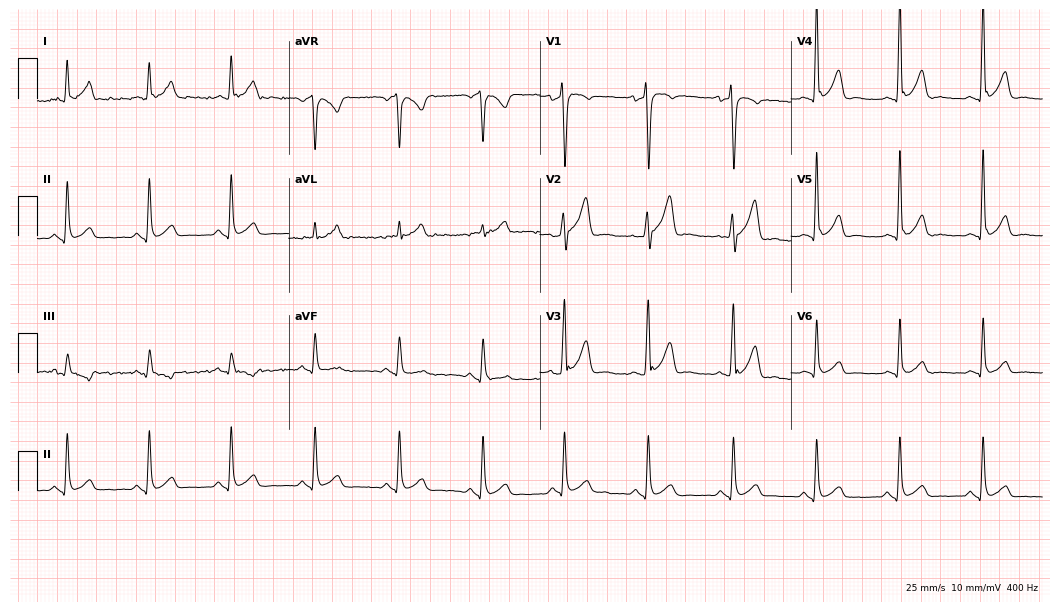
12-lead ECG from a 42-year-old man. Labelled as a normal ECG.